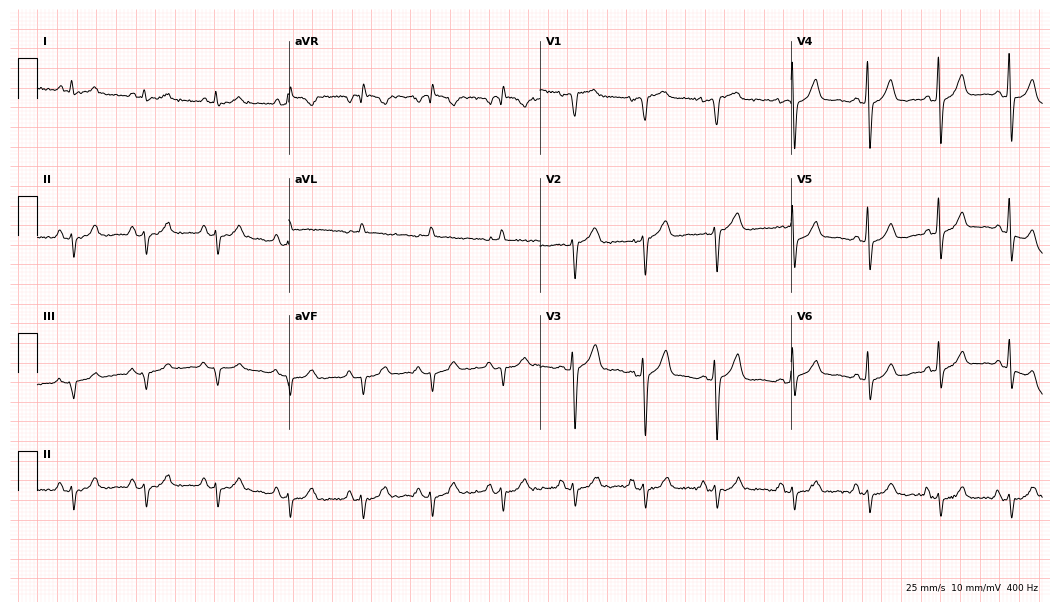
12-lead ECG from a male, 76 years old (10.2-second recording at 400 Hz). No first-degree AV block, right bundle branch block (RBBB), left bundle branch block (LBBB), sinus bradycardia, atrial fibrillation (AF) or sinus tachycardia recorded for this tracing.